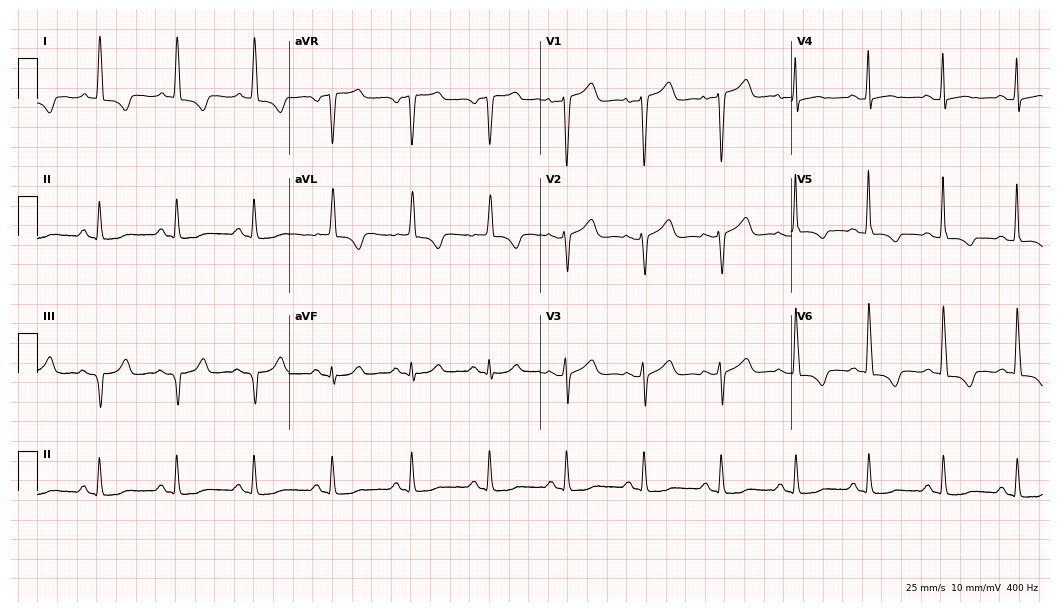
12-lead ECG from a female patient, 60 years old (10.2-second recording at 400 Hz). No first-degree AV block, right bundle branch block (RBBB), left bundle branch block (LBBB), sinus bradycardia, atrial fibrillation (AF) or sinus tachycardia recorded for this tracing. Other findings, if any, are not listed.